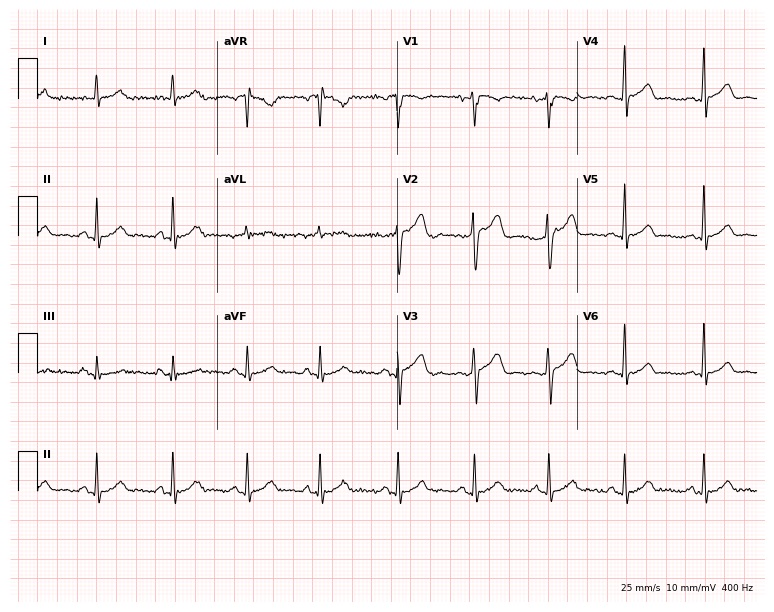
Resting 12-lead electrocardiogram. Patient: a man, 31 years old. None of these six findings is recorded: first-degree AV block, right bundle branch block, left bundle branch block, sinus bradycardia, atrial fibrillation, sinus tachycardia.